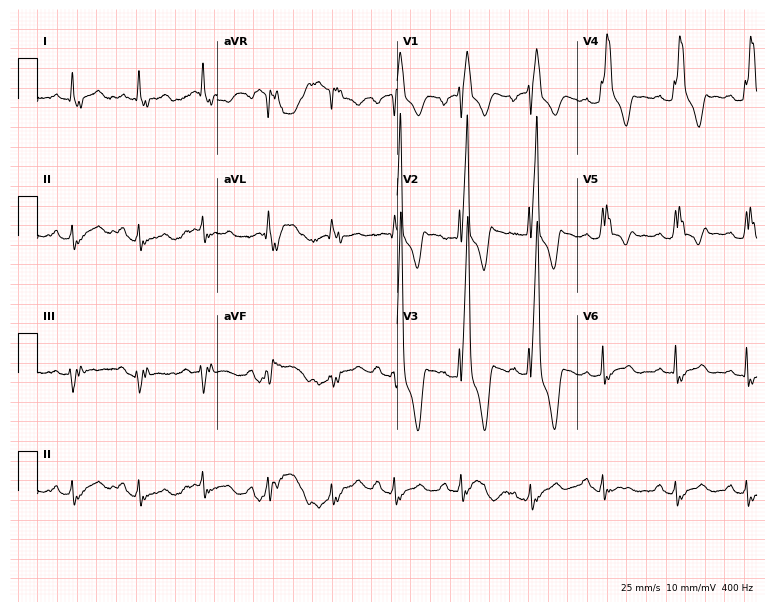
Electrocardiogram, a man, 23 years old. Of the six screened findings (first-degree AV block, right bundle branch block (RBBB), left bundle branch block (LBBB), sinus bradycardia, atrial fibrillation (AF), sinus tachycardia), none is recorded.